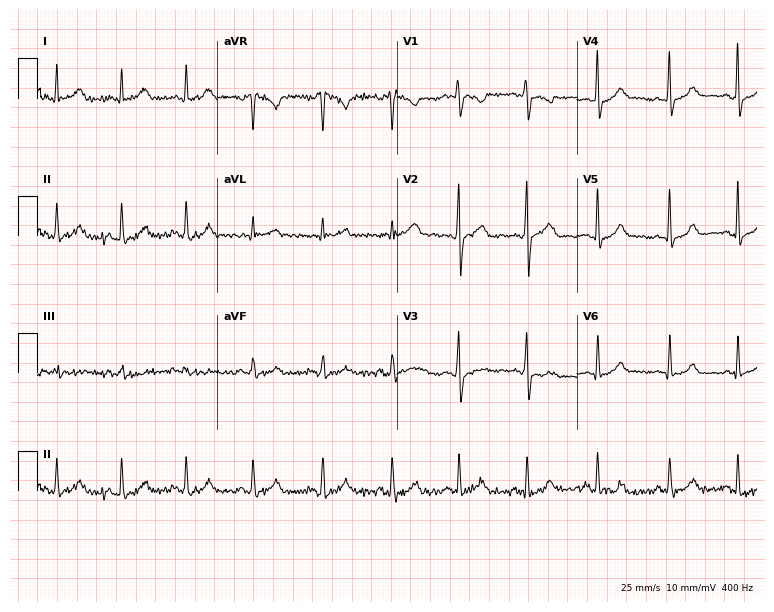
12-lead ECG from a woman, 31 years old (7.3-second recording at 400 Hz). Recorded interpretation: within normal limits.